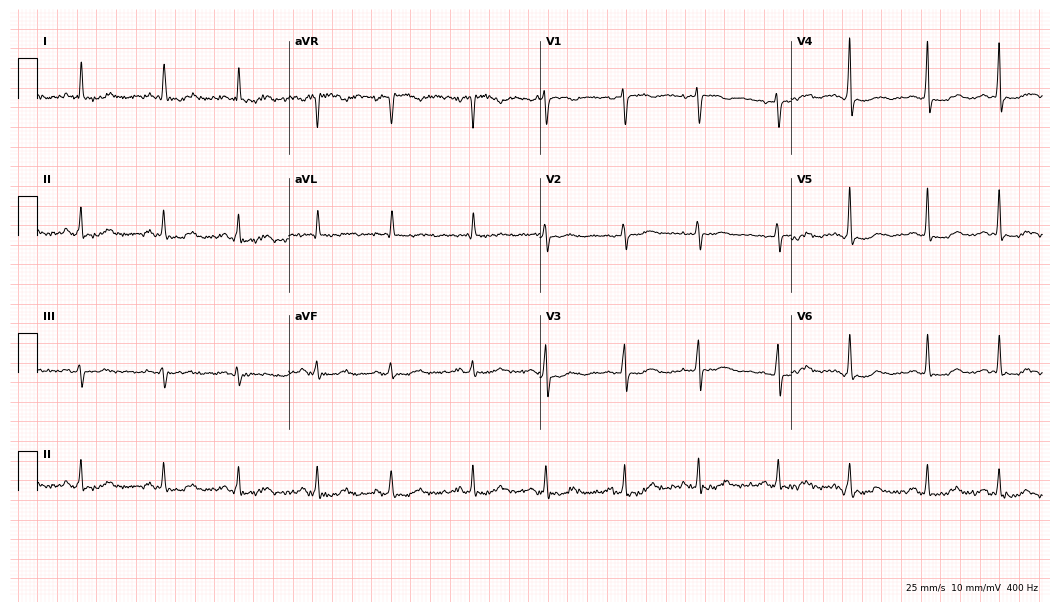
Electrocardiogram, a female, 67 years old. Of the six screened findings (first-degree AV block, right bundle branch block (RBBB), left bundle branch block (LBBB), sinus bradycardia, atrial fibrillation (AF), sinus tachycardia), none is recorded. Other findings, if any, are not listed.